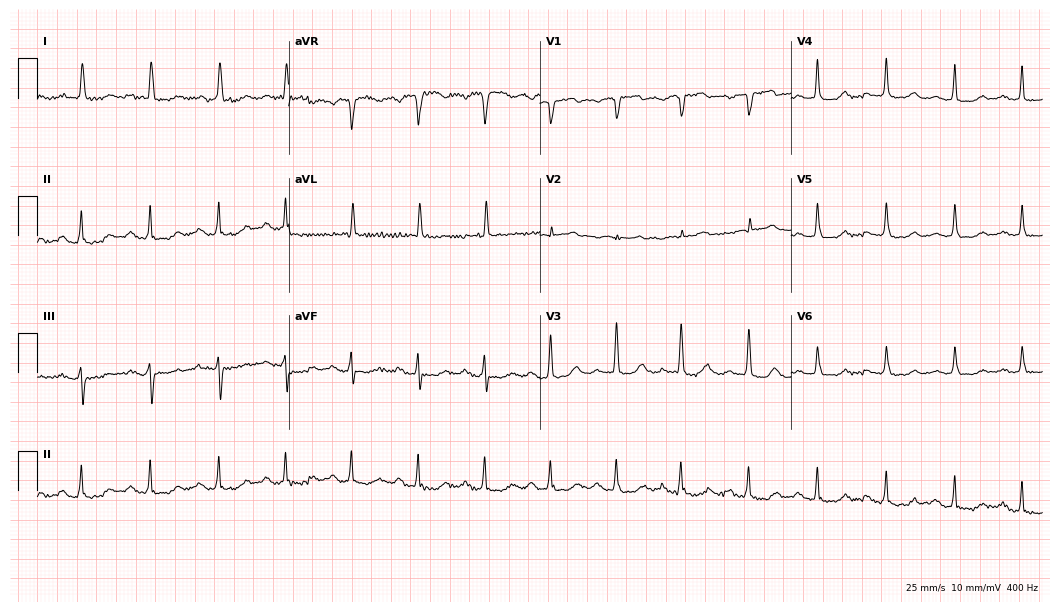
12-lead ECG (10.2-second recording at 400 Hz) from a female patient, 77 years old. Labelled as a normal ECG.